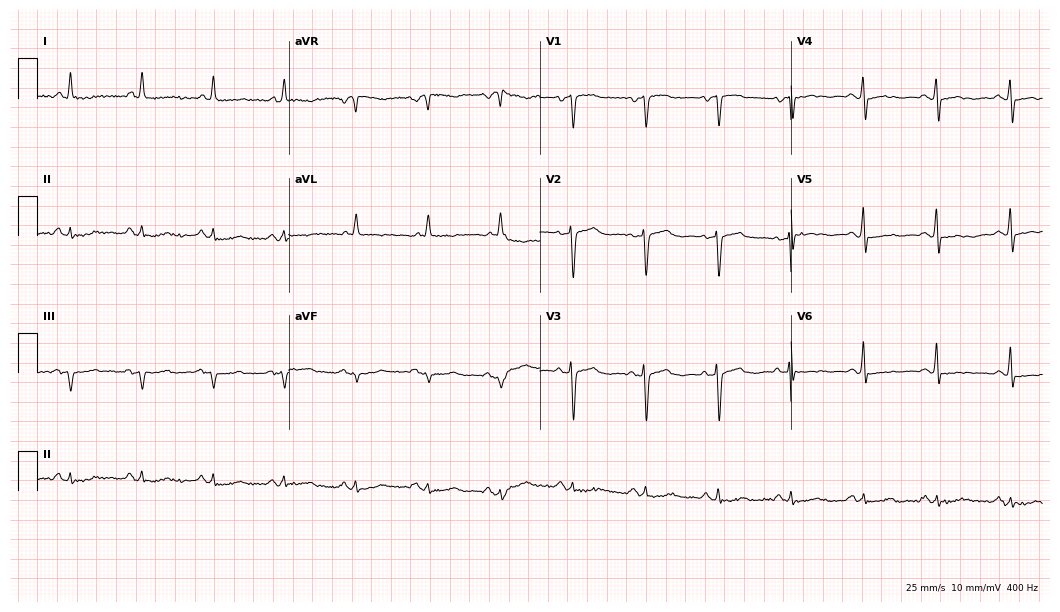
ECG — a female patient, 81 years old. Screened for six findings — first-degree AV block, right bundle branch block (RBBB), left bundle branch block (LBBB), sinus bradycardia, atrial fibrillation (AF), sinus tachycardia — none is recorded. Other findings, if any, are not listed.